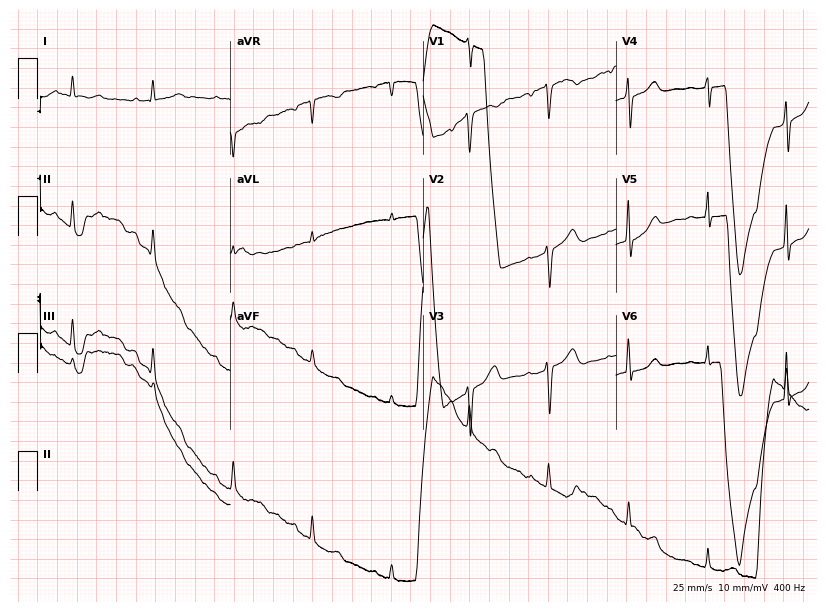
ECG (7.9-second recording at 400 Hz) — a 56-year-old female patient. Labelled as a normal ECG.